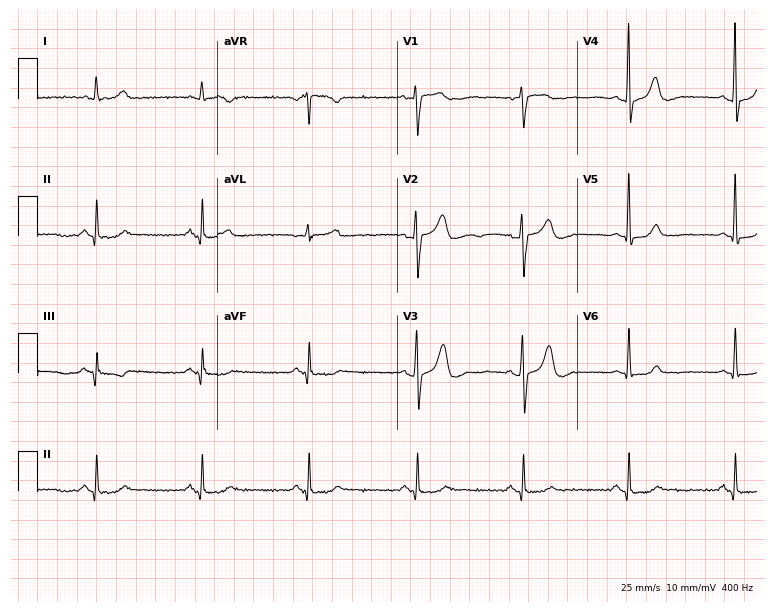
Resting 12-lead electrocardiogram (7.3-second recording at 400 Hz). Patient: a 74-year-old male. Read as a normal ECG.